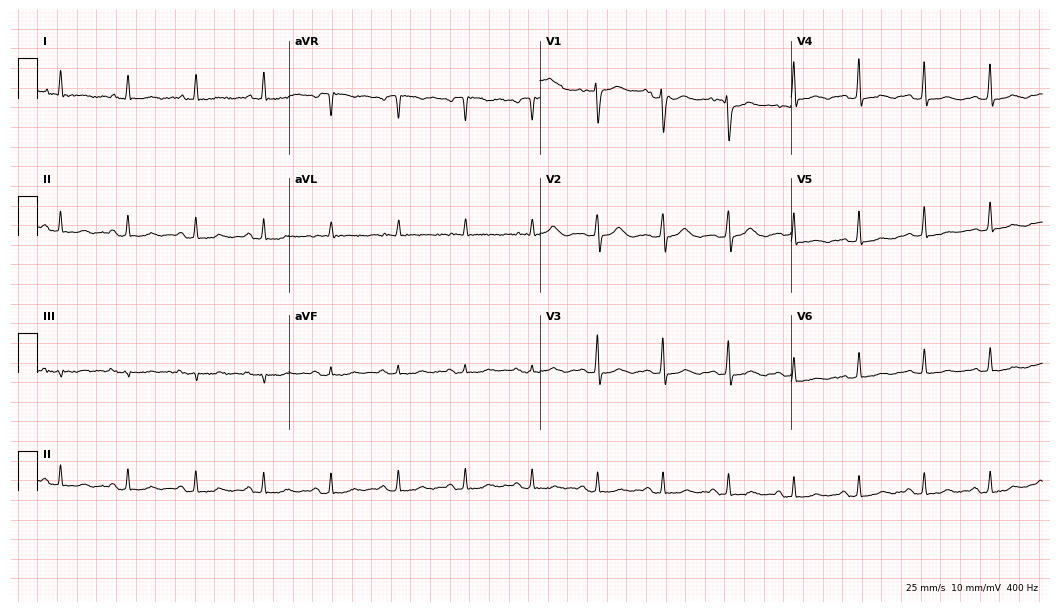
12-lead ECG from a 67-year-old woman (10.2-second recording at 400 Hz). No first-degree AV block, right bundle branch block, left bundle branch block, sinus bradycardia, atrial fibrillation or sinus tachycardia recorded for this tracing. Findings outside these six are not listed.